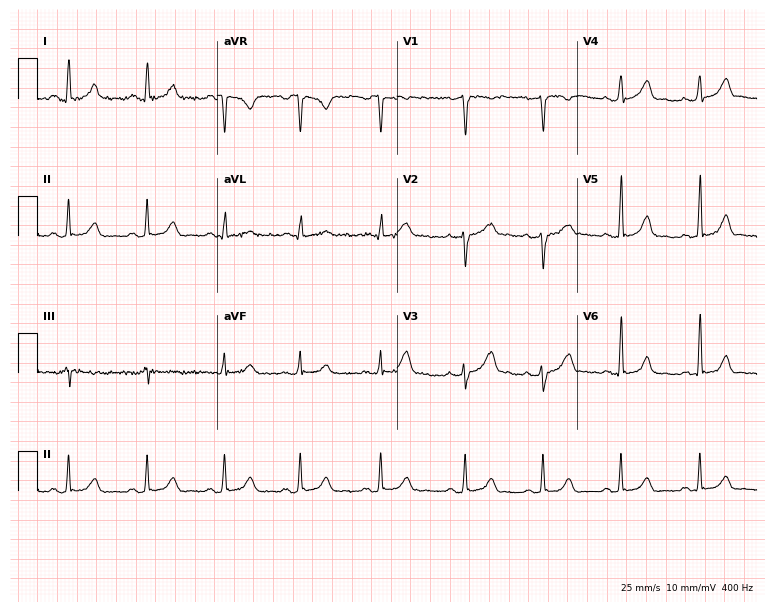
Resting 12-lead electrocardiogram. Patient: a 37-year-old woman. Read as a normal ECG.